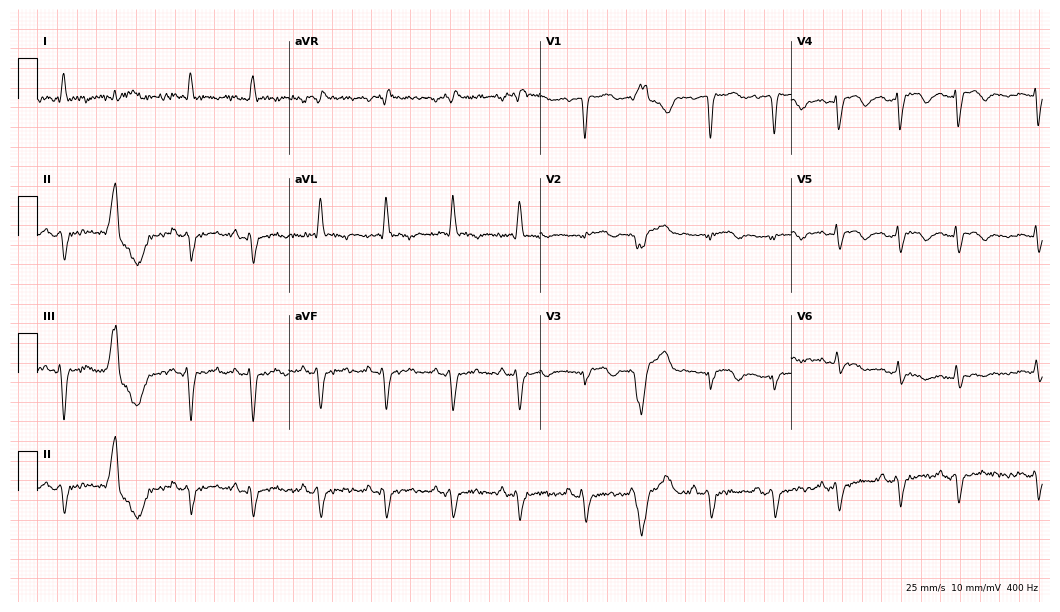
Electrocardiogram (10.2-second recording at 400 Hz), a 55-year-old woman. Of the six screened findings (first-degree AV block, right bundle branch block, left bundle branch block, sinus bradycardia, atrial fibrillation, sinus tachycardia), none is recorded.